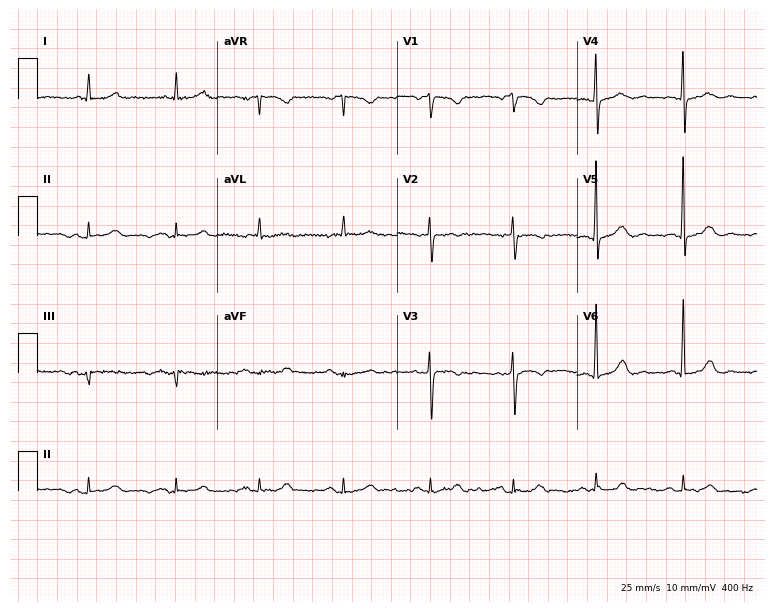
12-lead ECG from a 75-year-old woman. Recorded interpretation: within normal limits.